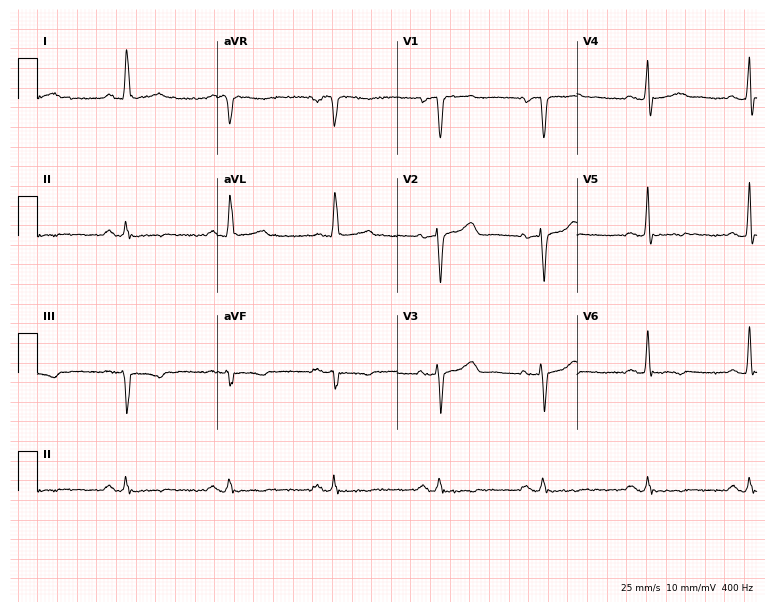
Resting 12-lead electrocardiogram (7.3-second recording at 400 Hz). Patient: a male, 52 years old. None of these six findings is recorded: first-degree AV block, right bundle branch block, left bundle branch block, sinus bradycardia, atrial fibrillation, sinus tachycardia. Findings outside these six are not listed.